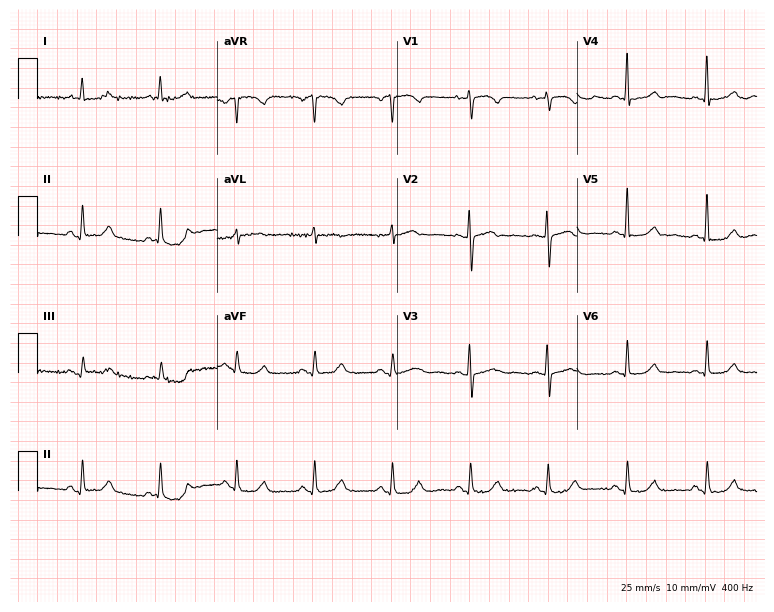
Standard 12-lead ECG recorded from an 82-year-old female patient. Read as a normal ECG.